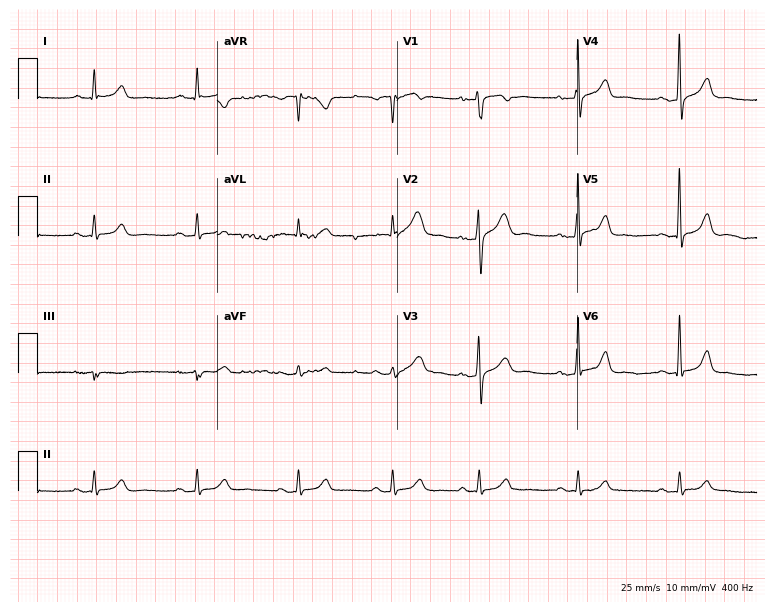
12-lead ECG from a 47-year-old man. No first-degree AV block, right bundle branch block (RBBB), left bundle branch block (LBBB), sinus bradycardia, atrial fibrillation (AF) or sinus tachycardia recorded for this tracing.